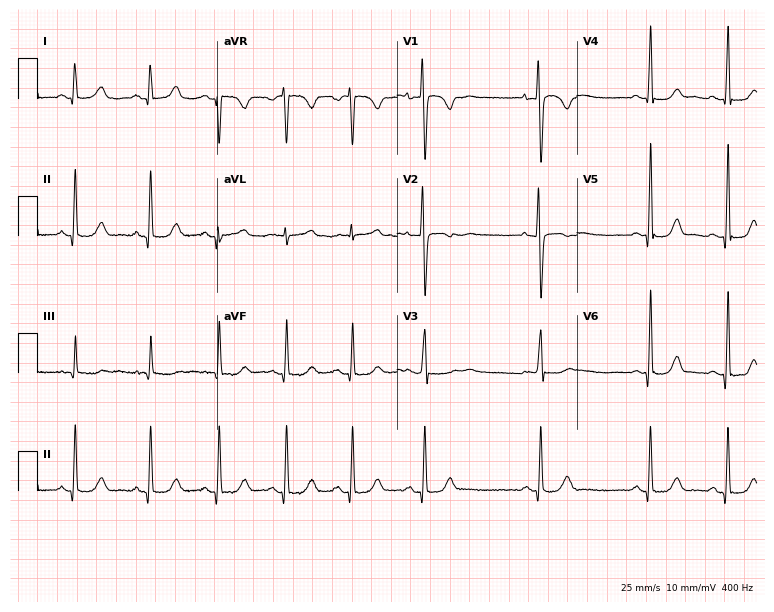
ECG (7.3-second recording at 400 Hz) — a woman, 25 years old. Labelled as a normal ECG.